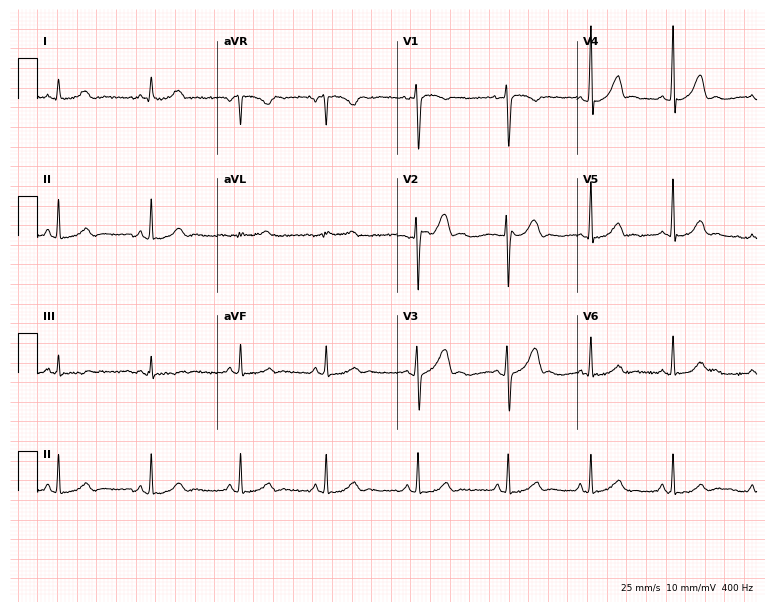
12-lead ECG from a woman, 24 years old. Labelled as a normal ECG.